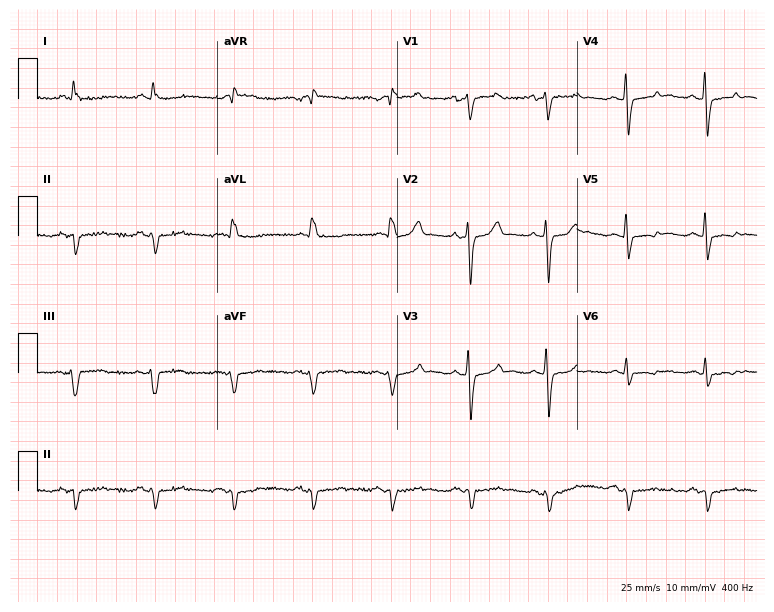
ECG — a male patient, 67 years old. Screened for six findings — first-degree AV block, right bundle branch block, left bundle branch block, sinus bradycardia, atrial fibrillation, sinus tachycardia — none is recorded.